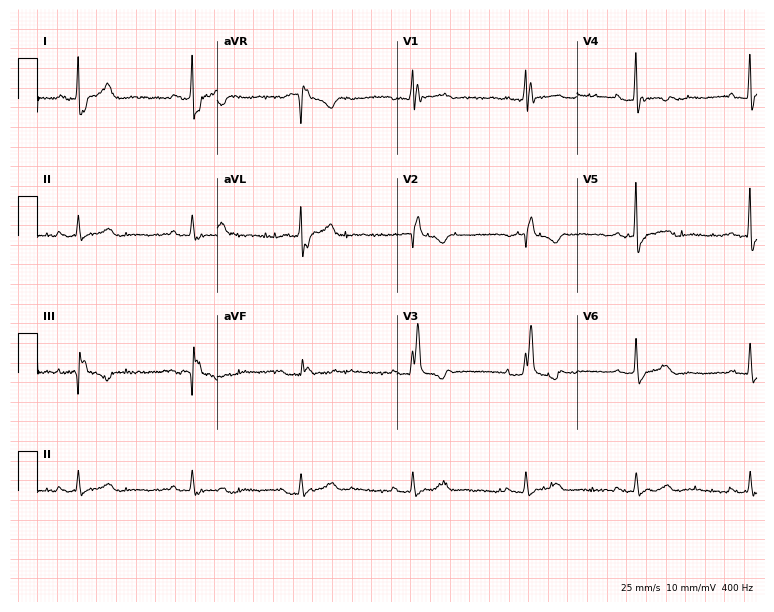
12-lead ECG from an 83-year-old woman. Findings include right bundle branch block.